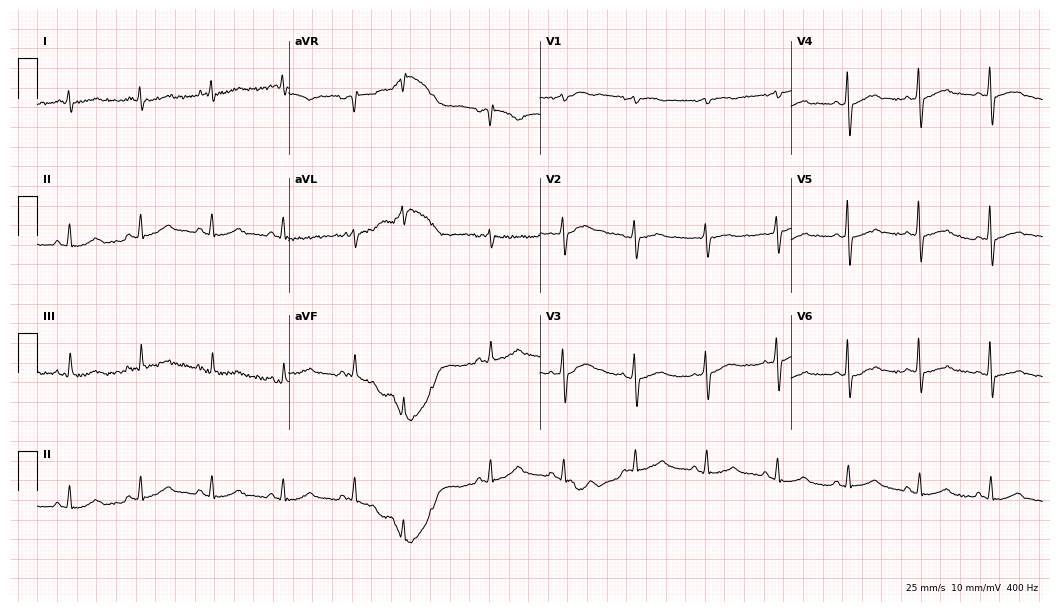
12-lead ECG (10.2-second recording at 400 Hz) from a woman, 74 years old. Screened for six findings — first-degree AV block, right bundle branch block, left bundle branch block, sinus bradycardia, atrial fibrillation, sinus tachycardia — none is recorded.